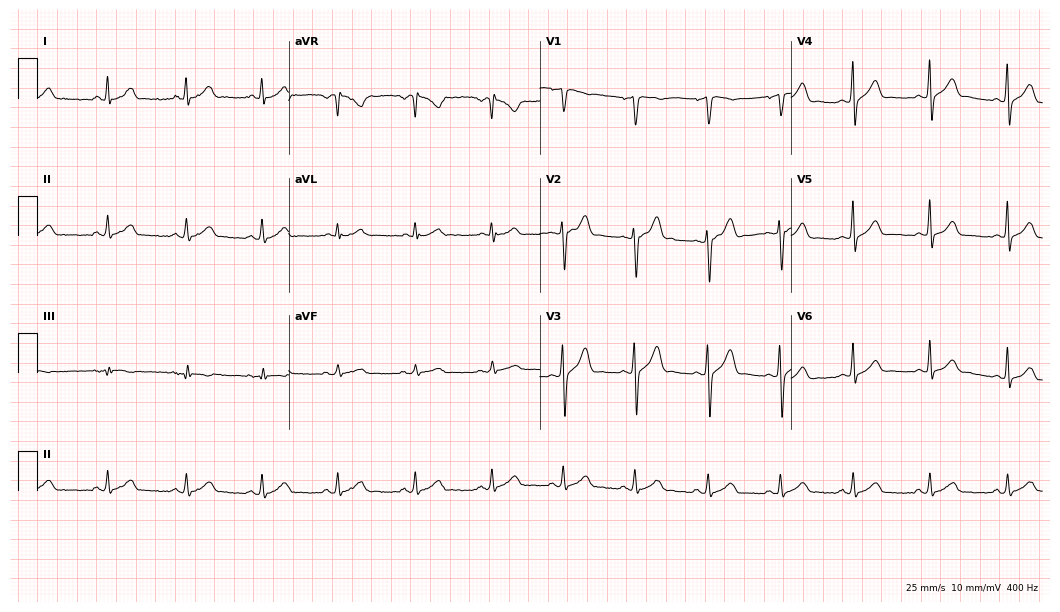
ECG (10.2-second recording at 400 Hz) — a 29-year-old male patient. Labelled as a normal ECG.